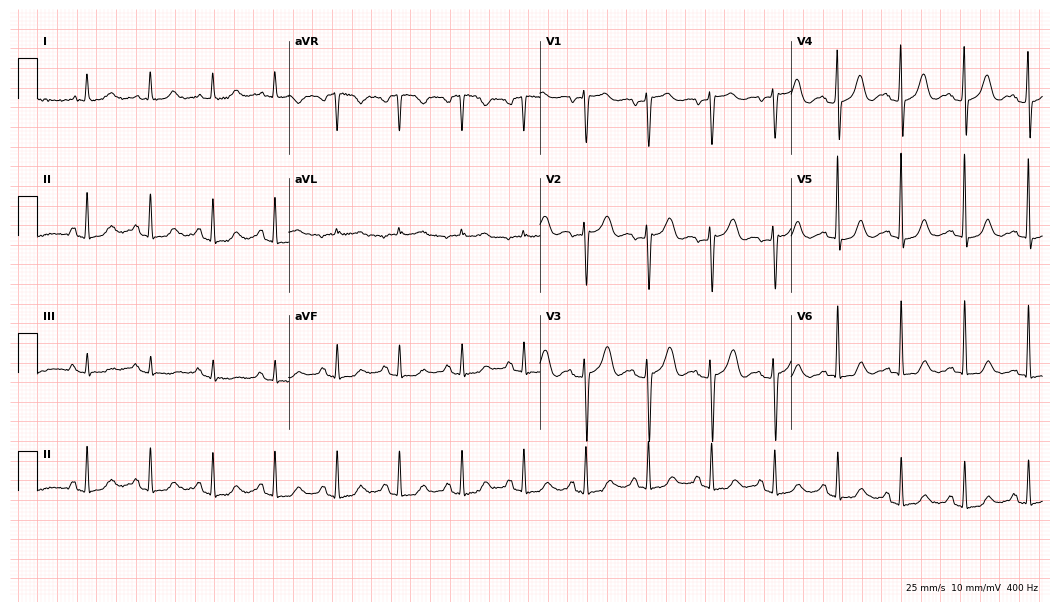
Standard 12-lead ECG recorded from an 84-year-old female patient. None of these six findings is recorded: first-degree AV block, right bundle branch block, left bundle branch block, sinus bradycardia, atrial fibrillation, sinus tachycardia. Only these six findings were labelled.